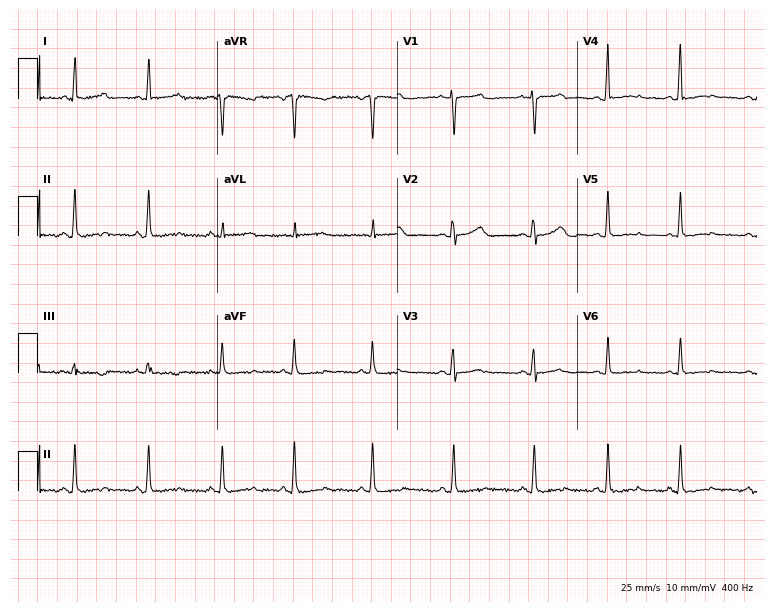
ECG — a woman, 61 years old. Screened for six findings — first-degree AV block, right bundle branch block, left bundle branch block, sinus bradycardia, atrial fibrillation, sinus tachycardia — none is recorded.